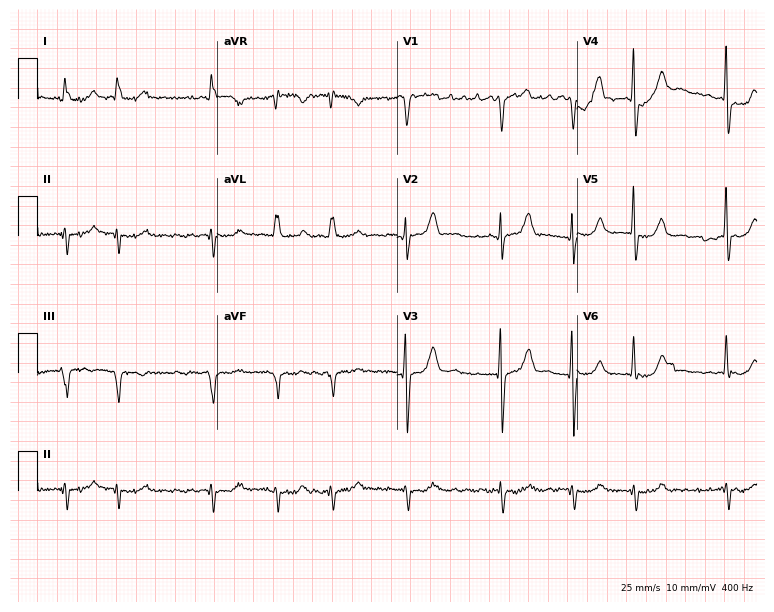
12-lead ECG from a male patient, 79 years old (7.3-second recording at 400 Hz). Shows atrial fibrillation.